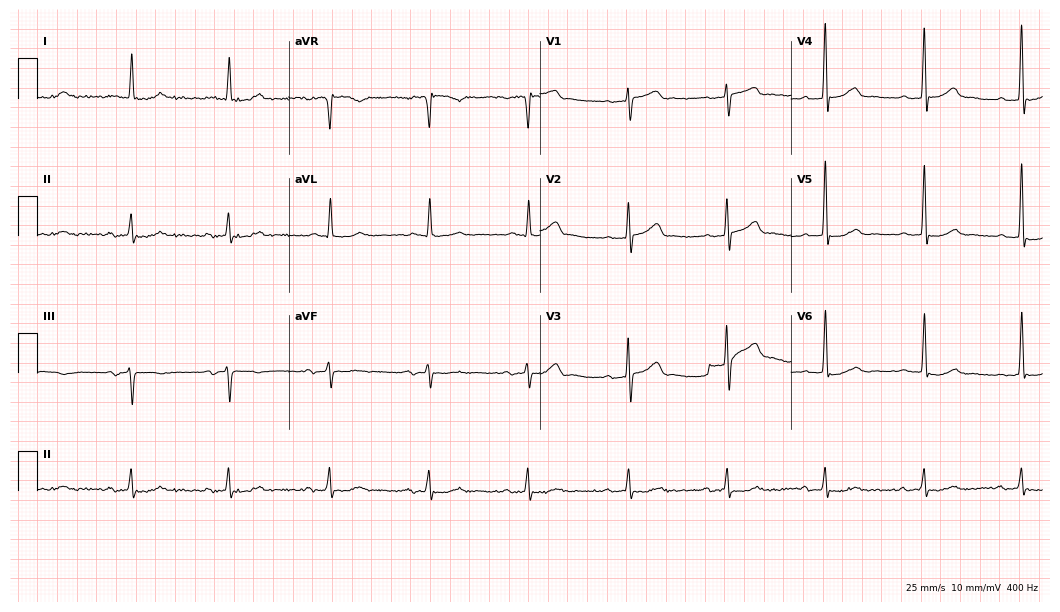
12-lead ECG (10.2-second recording at 400 Hz) from a man, 79 years old. Findings include first-degree AV block.